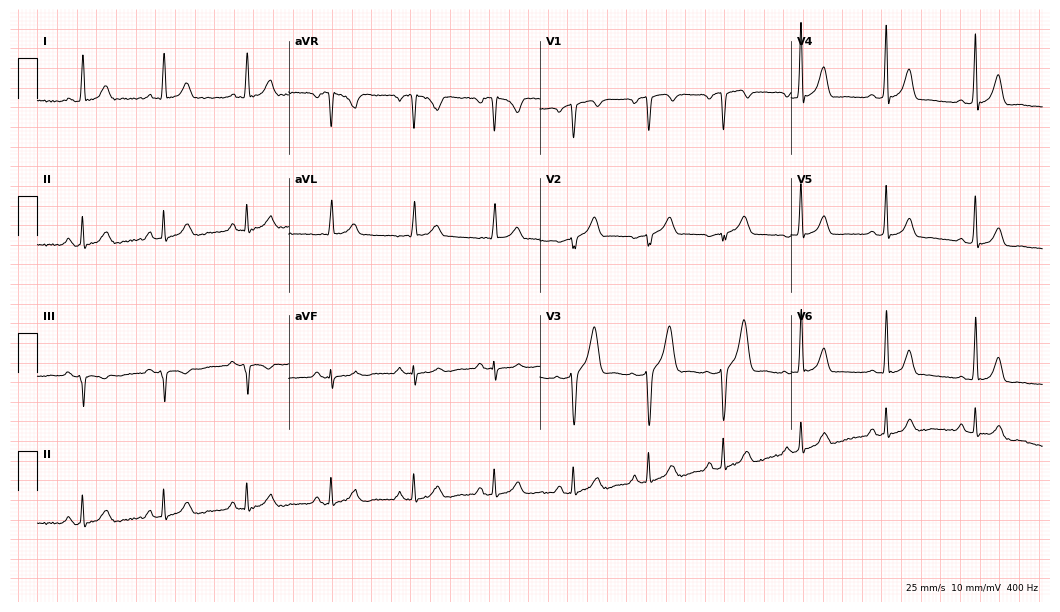
Standard 12-lead ECG recorded from a 44-year-old male. Read as a normal ECG.